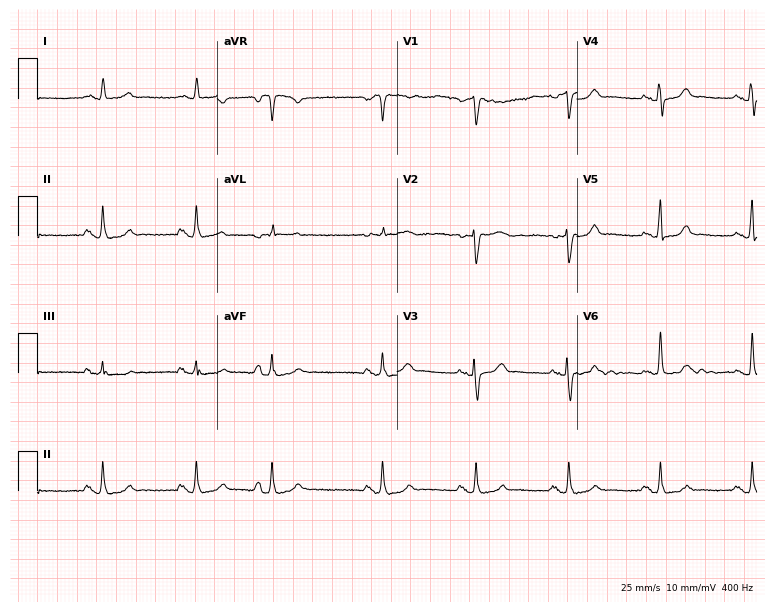
12-lead ECG from a 49-year-old female patient (7.3-second recording at 400 Hz). No first-degree AV block, right bundle branch block, left bundle branch block, sinus bradycardia, atrial fibrillation or sinus tachycardia recorded for this tracing.